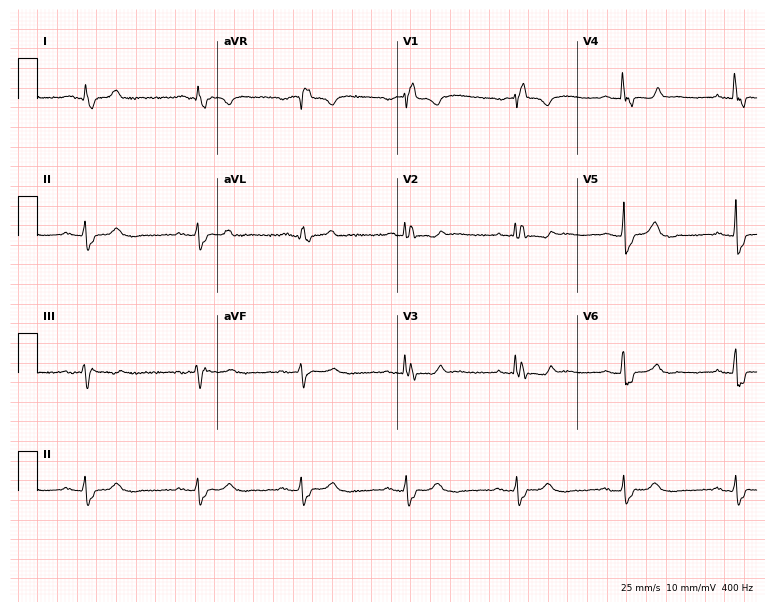
Standard 12-lead ECG recorded from a man, 56 years old. None of these six findings is recorded: first-degree AV block, right bundle branch block, left bundle branch block, sinus bradycardia, atrial fibrillation, sinus tachycardia.